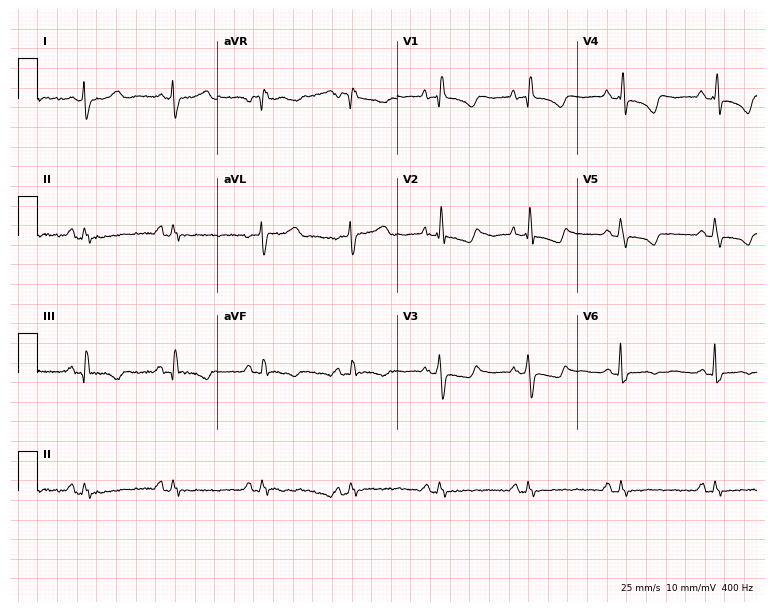
Electrocardiogram, a 38-year-old female patient. Of the six screened findings (first-degree AV block, right bundle branch block (RBBB), left bundle branch block (LBBB), sinus bradycardia, atrial fibrillation (AF), sinus tachycardia), none is recorded.